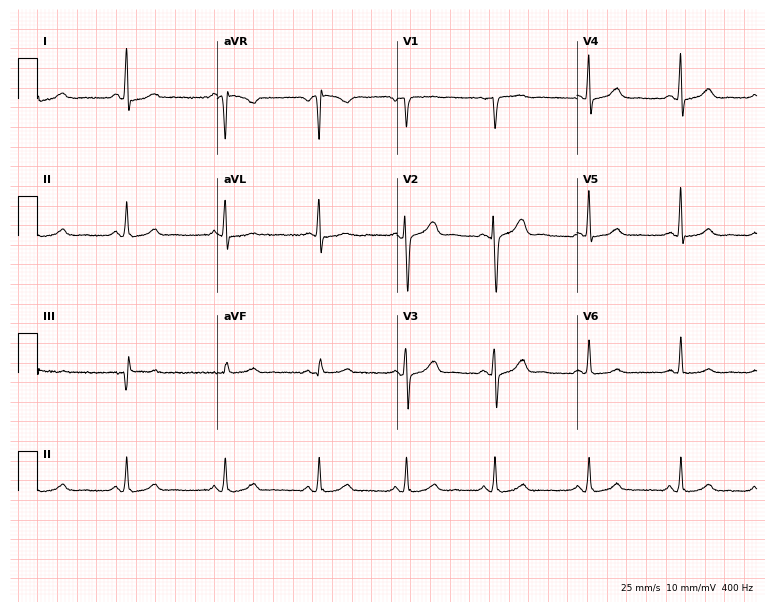
12-lead ECG from a 50-year-old woman. Recorded interpretation: within normal limits.